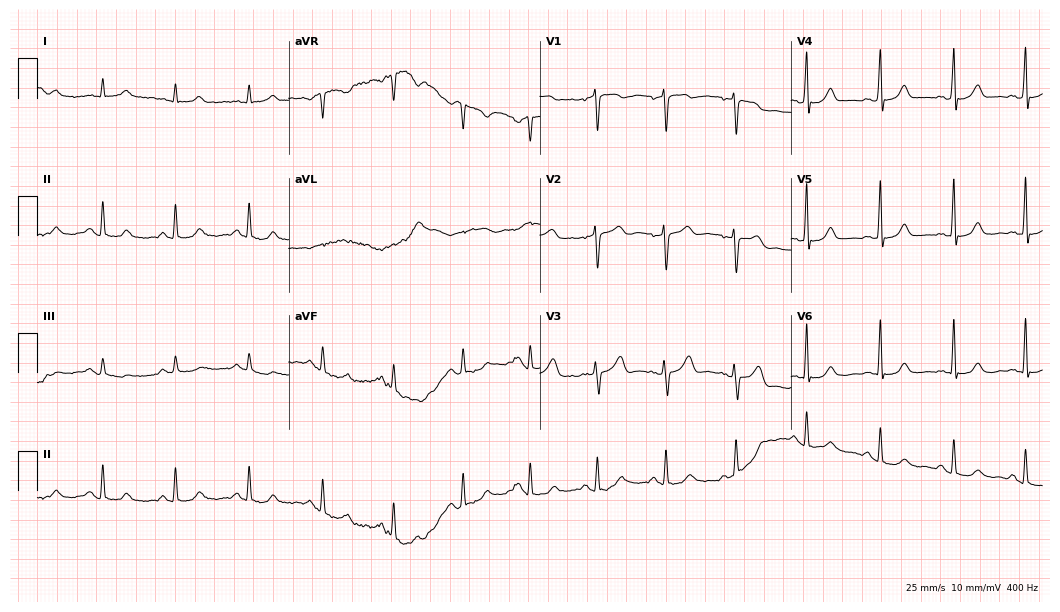
Standard 12-lead ECG recorded from a man, 52 years old (10.2-second recording at 400 Hz). None of these six findings is recorded: first-degree AV block, right bundle branch block (RBBB), left bundle branch block (LBBB), sinus bradycardia, atrial fibrillation (AF), sinus tachycardia.